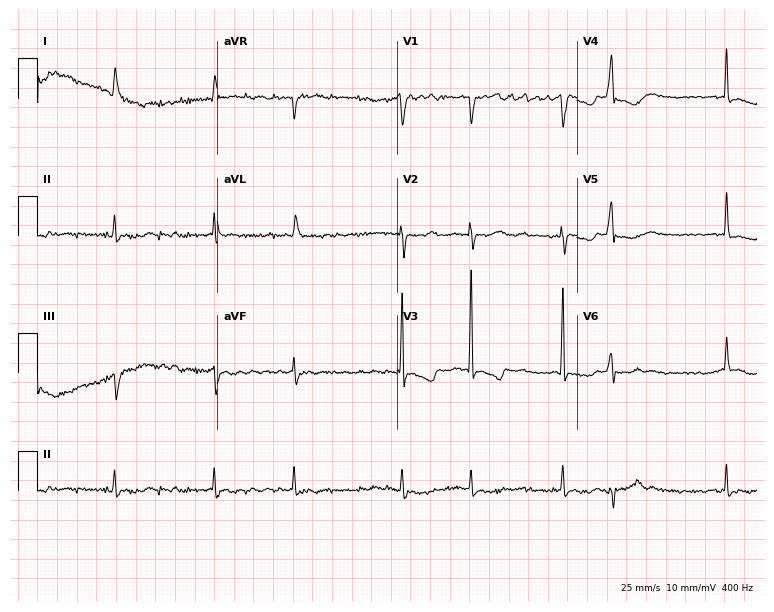
12-lead ECG from an 85-year-old woman (7.3-second recording at 400 Hz). Shows atrial fibrillation.